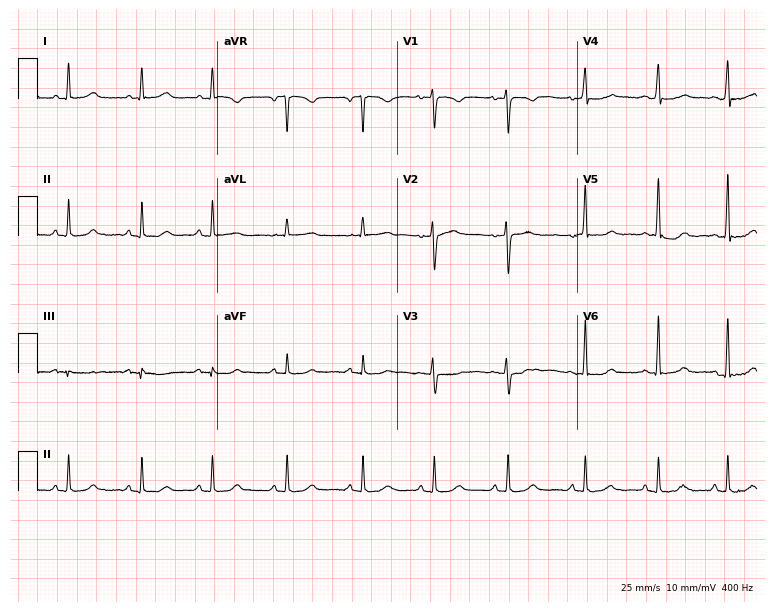
Standard 12-lead ECG recorded from a woman, 43 years old. None of these six findings is recorded: first-degree AV block, right bundle branch block, left bundle branch block, sinus bradycardia, atrial fibrillation, sinus tachycardia.